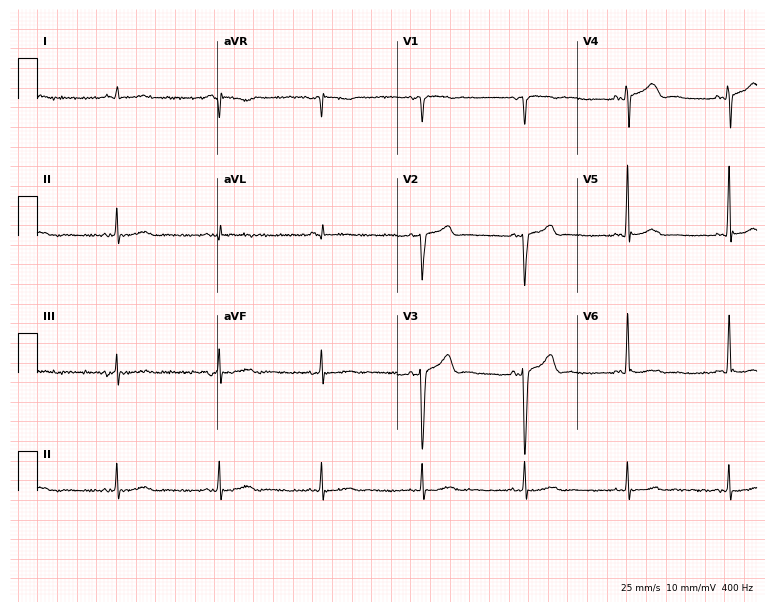
Standard 12-lead ECG recorded from a 71-year-old man. None of these six findings is recorded: first-degree AV block, right bundle branch block, left bundle branch block, sinus bradycardia, atrial fibrillation, sinus tachycardia. Only these six findings were labelled.